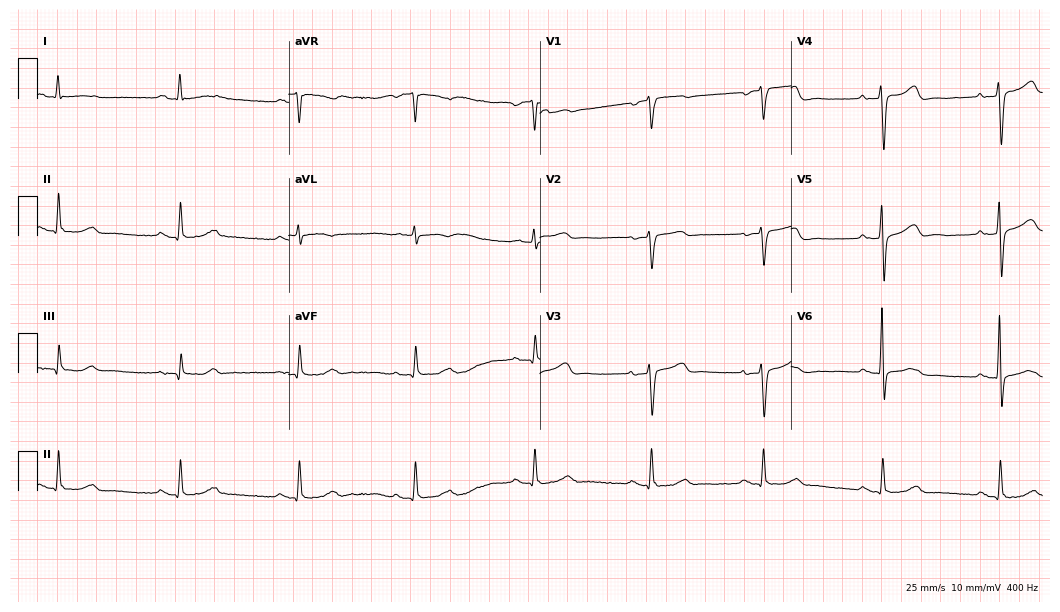
Standard 12-lead ECG recorded from a 74-year-old male patient. None of these six findings is recorded: first-degree AV block, right bundle branch block, left bundle branch block, sinus bradycardia, atrial fibrillation, sinus tachycardia. Findings outside these six are not listed.